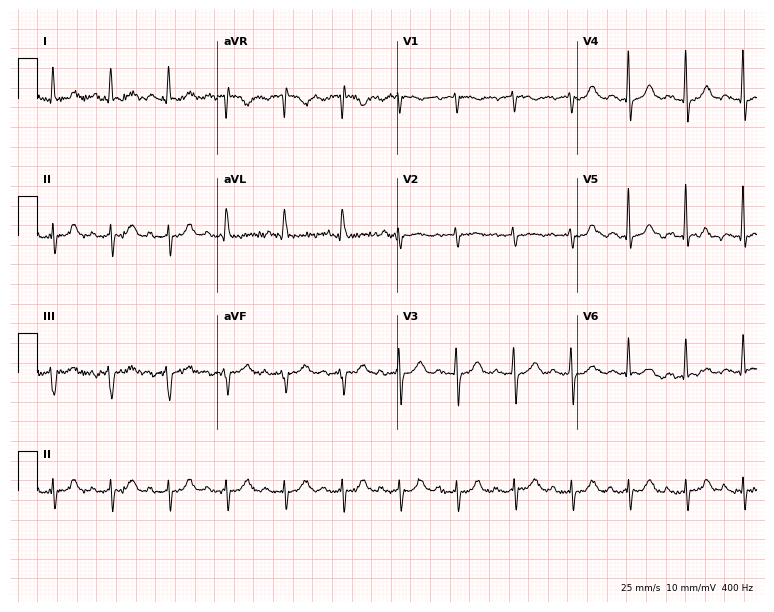
12-lead ECG from a 74-year-old woman (7.3-second recording at 400 Hz). Shows sinus tachycardia (a sinus rate of 100 beats per minute or more).